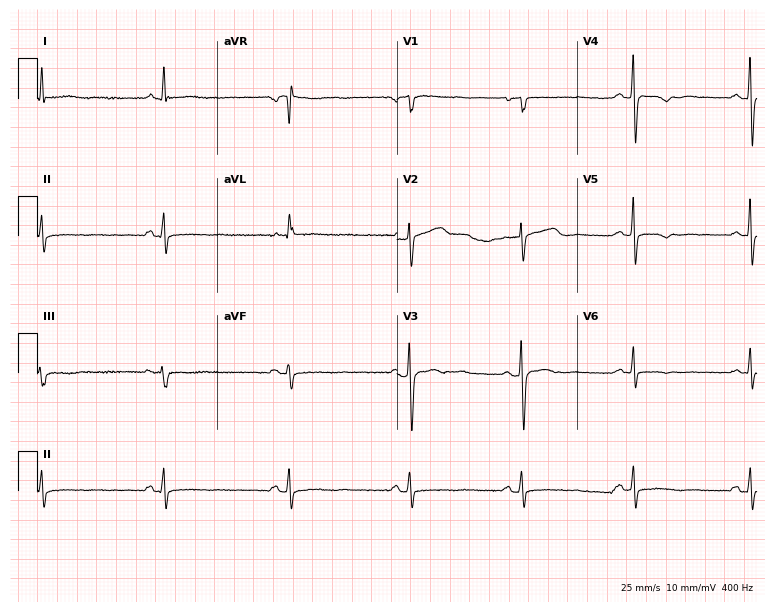
ECG — a woman, 60 years old. Screened for six findings — first-degree AV block, right bundle branch block (RBBB), left bundle branch block (LBBB), sinus bradycardia, atrial fibrillation (AF), sinus tachycardia — none is recorded. Findings outside these six are not listed.